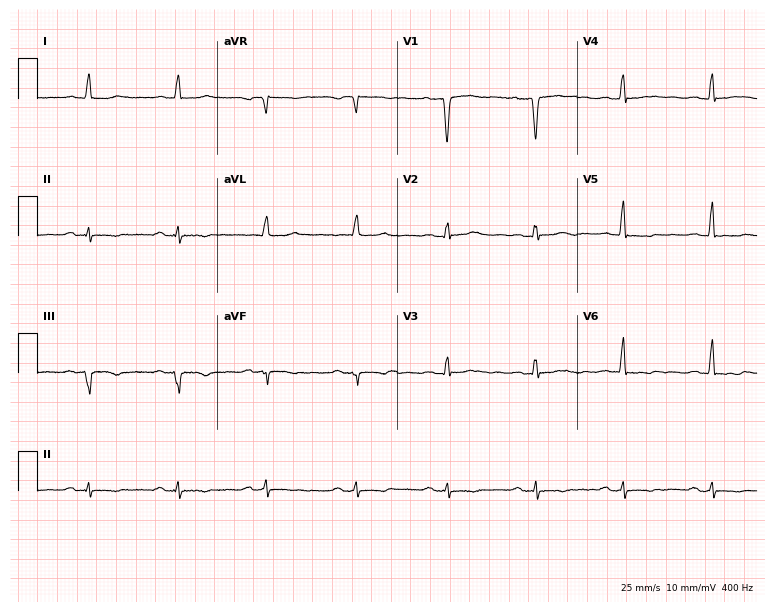
Electrocardiogram, a male, 75 years old. Of the six screened findings (first-degree AV block, right bundle branch block (RBBB), left bundle branch block (LBBB), sinus bradycardia, atrial fibrillation (AF), sinus tachycardia), none is recorded.